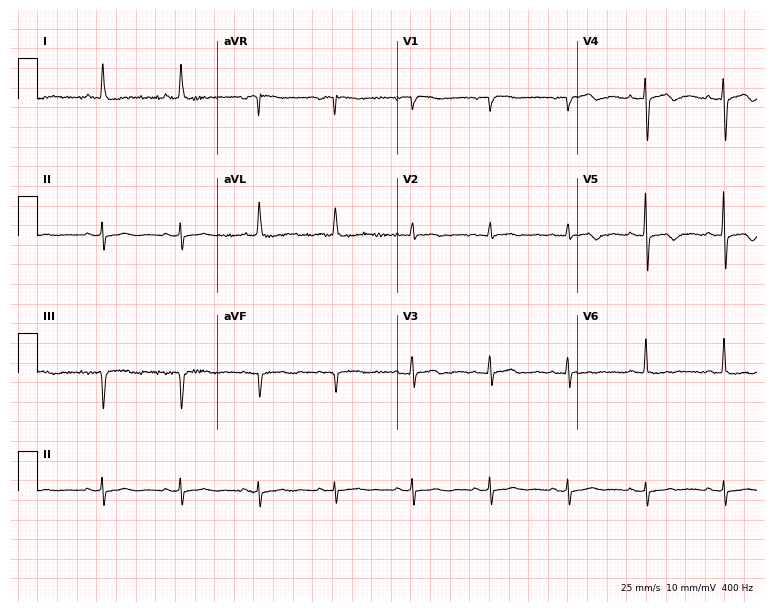
Electrocardiogram, an 87-year-old female. Of the six screened findings (first-degree AV block, right bundle branch block (RBBB), left bundle branch block (LBBB), sinus bradycardia, atrial fibrillation (AF), sinus tachycardia), none is recorded.